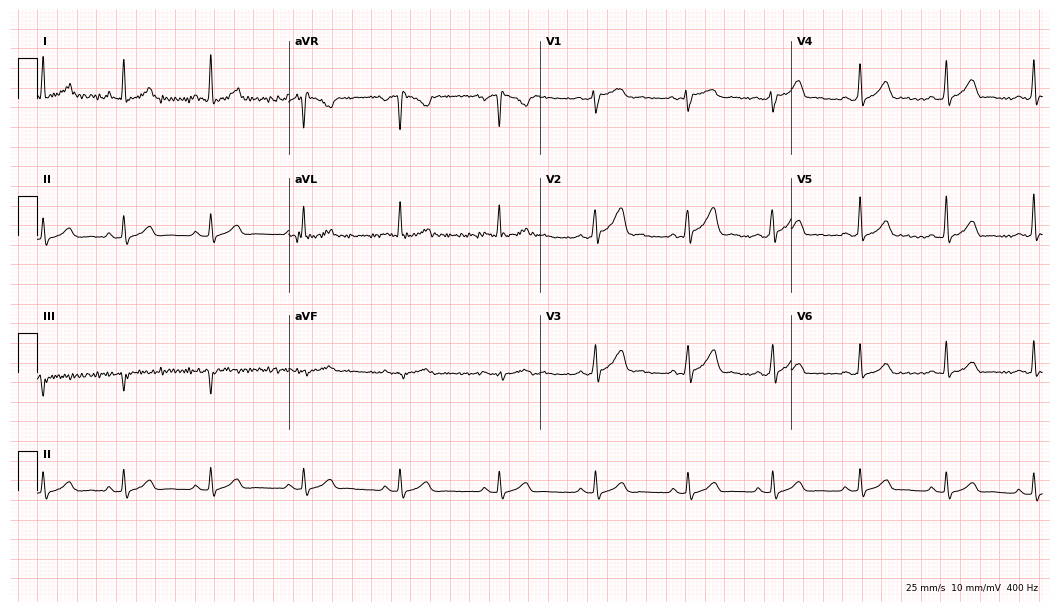
ECG (10.2-second recording at 400 Hz) — a man, 34 years old. Labelled as a normal ECG.